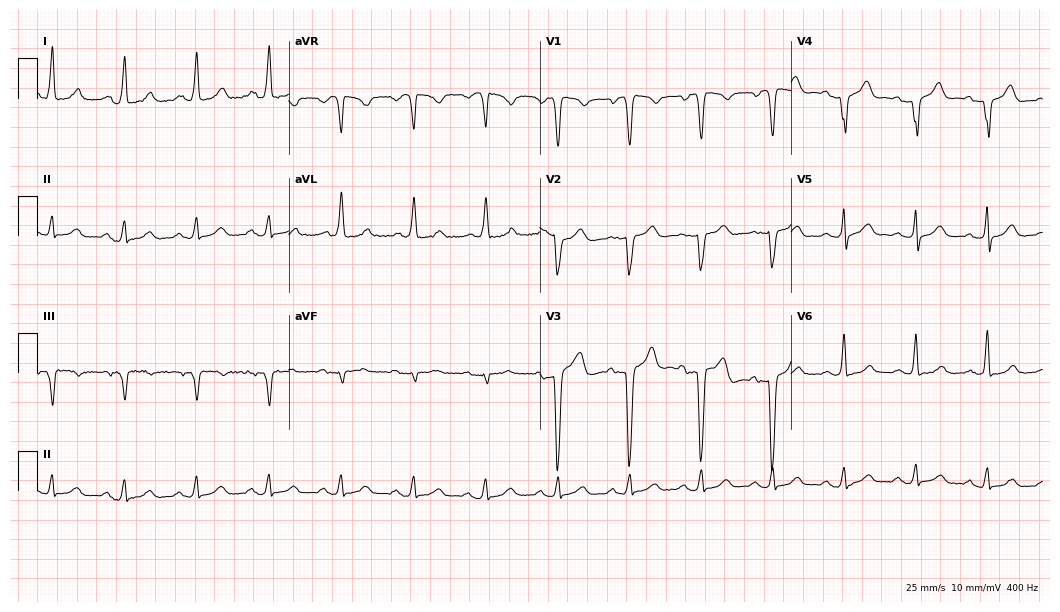
12-lead ECG from a male, 73 years old (10.2-second recording at 400 Hz). No first-degree AV block, right bundle branch block, left bundle branch block, sinus bradycardia, atrial fibrillation or sinus tachycardia recorded for this tracing.